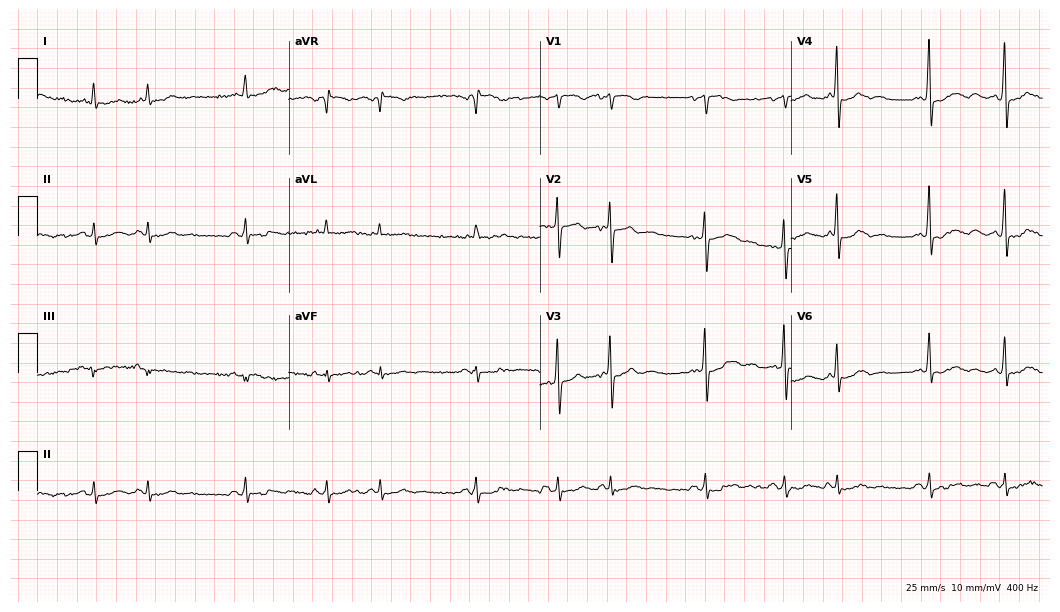
Electrocardiogram, a 56-year-old female. Of the six screened findings (first-degree AV block, right bundle branch block, left bundle branch block, sinus bradycardia, atrial fibrillation, sinus tachycardia), none is recorded.